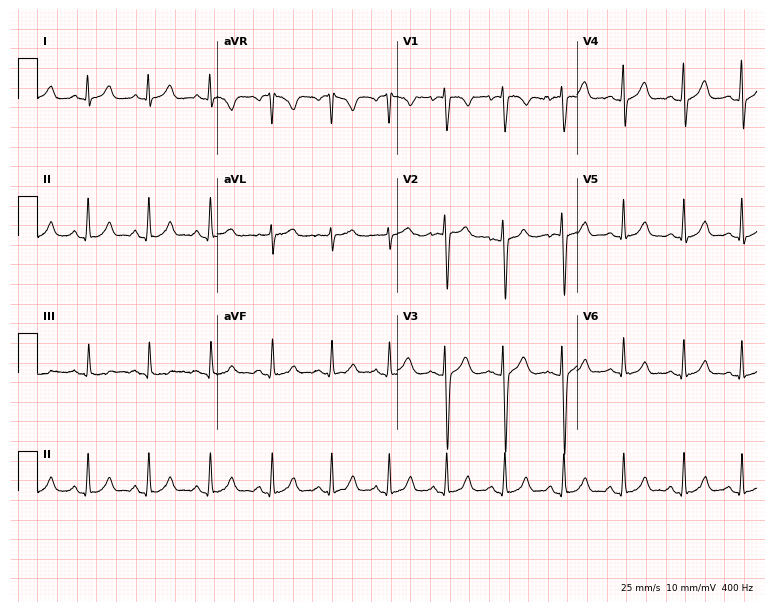
Resting 12-lead electrocardiogram (7.3-second recording at 400 Hz). Patient: a female, 21 years old. None of these six findings is recorded: first-degree AV block, right bundle branch block, left bundle branch block, sinus bradycardia, atrial fibrillation, sinus tachycardia.